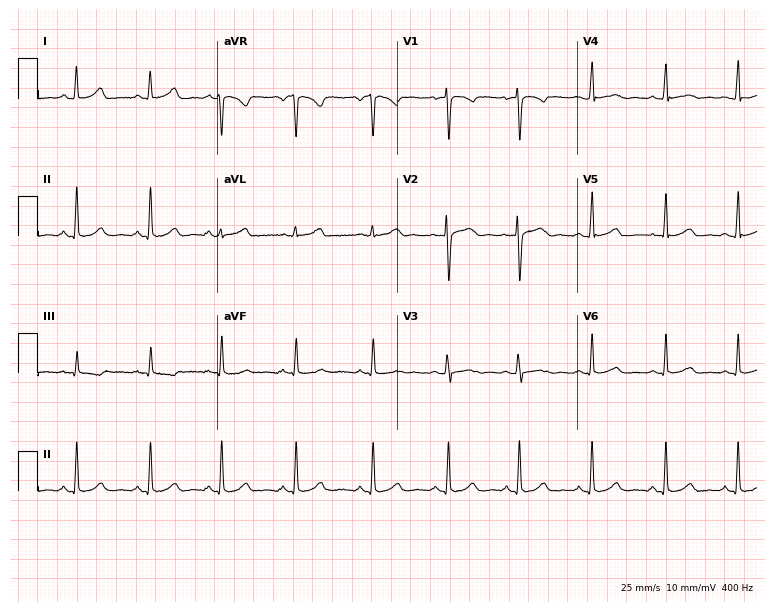
ECG — a 26-year-old female. Labelled as a normal ECG.